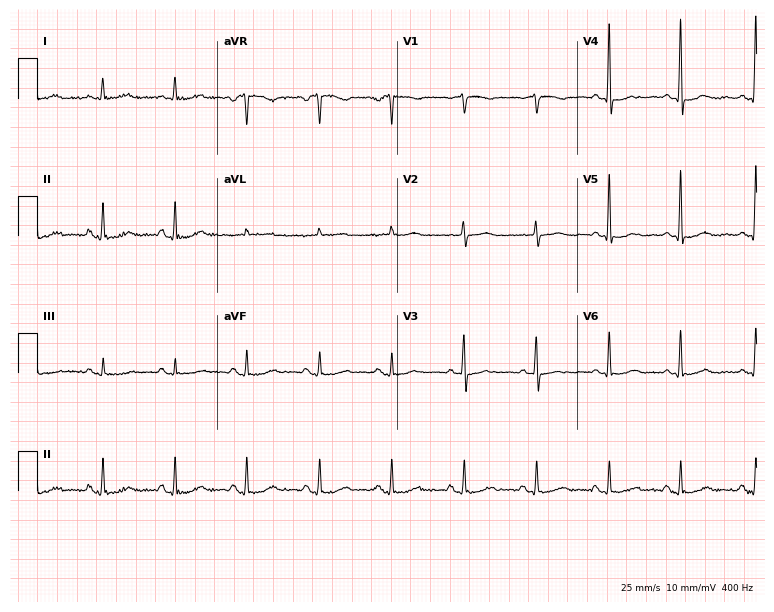
ECG — a female patient, 81 years old. Screened for six findings — first-degree AV block, right bundle branch block (RBBB), left bundle branch block (LBBB), sinus bradycardia, atrial fibrillation (AF), sinus tachycardia — none is recorded.